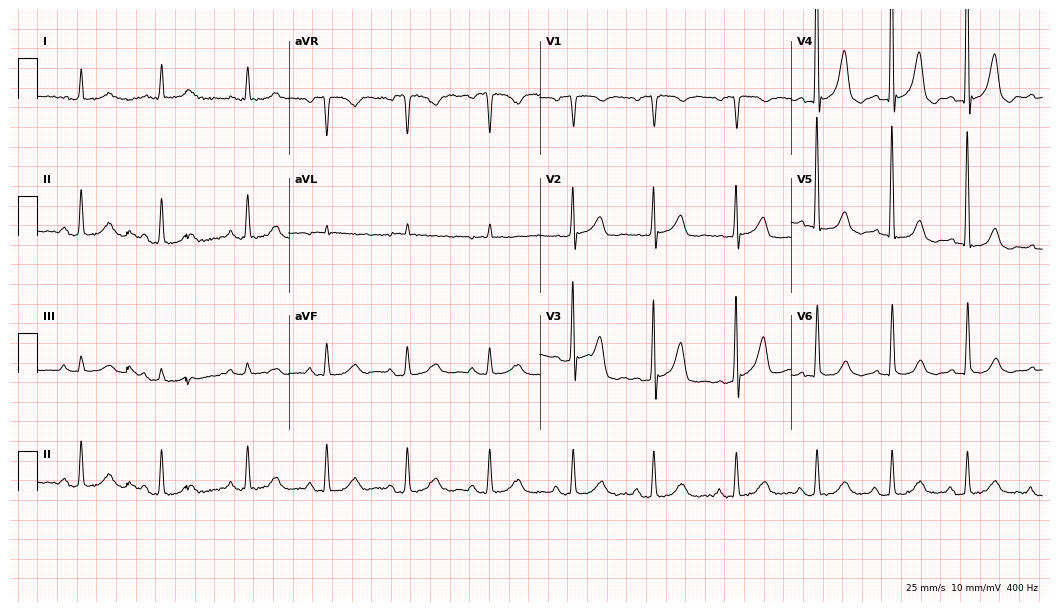
ECG (10.2-second recording at 400 Hz) — a 77-year-old male patient. Labelled as a normal ECG.